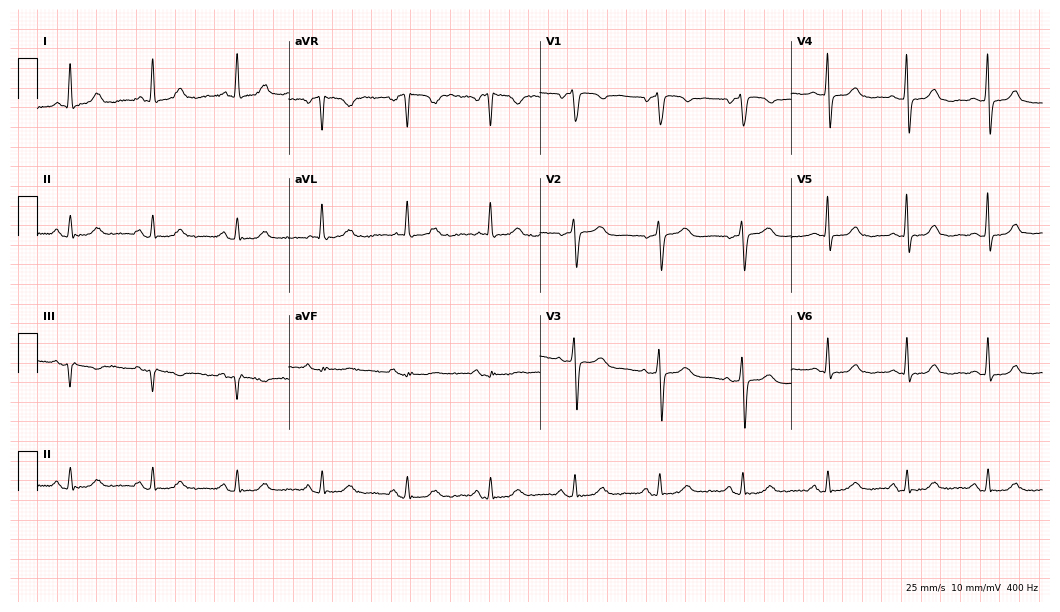
Electrocardiogram (10.2-second recording at 400 Hz), a 66-year-old female patient. Overall reading on record: normal ECG.